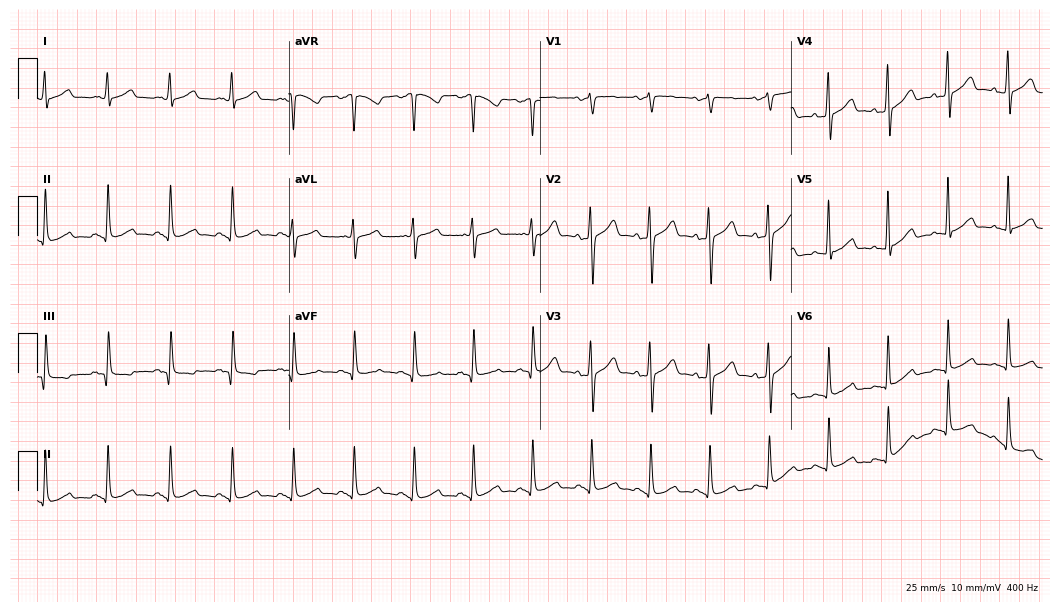
Standard 12-lead ECG recorded from a male patient, 56 years old. Read as a normal ECG.